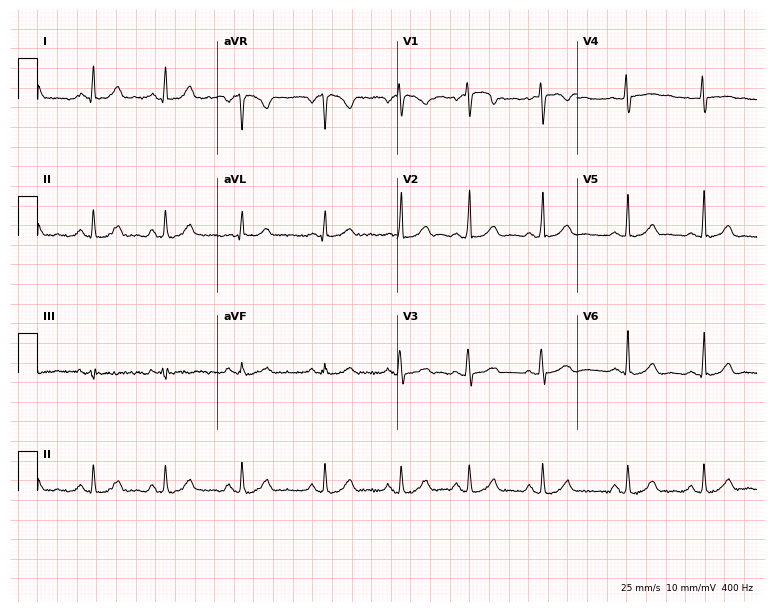
Standard 12-lead ECG recorded from a female patient, 21 years old. None of these six findings is recorded: first-degree AV block, right bundle branch block, left bundle branch block, sinus bradycardia, atrial fibrillation, sinus tachycardia. Findings outside these six are not listed.